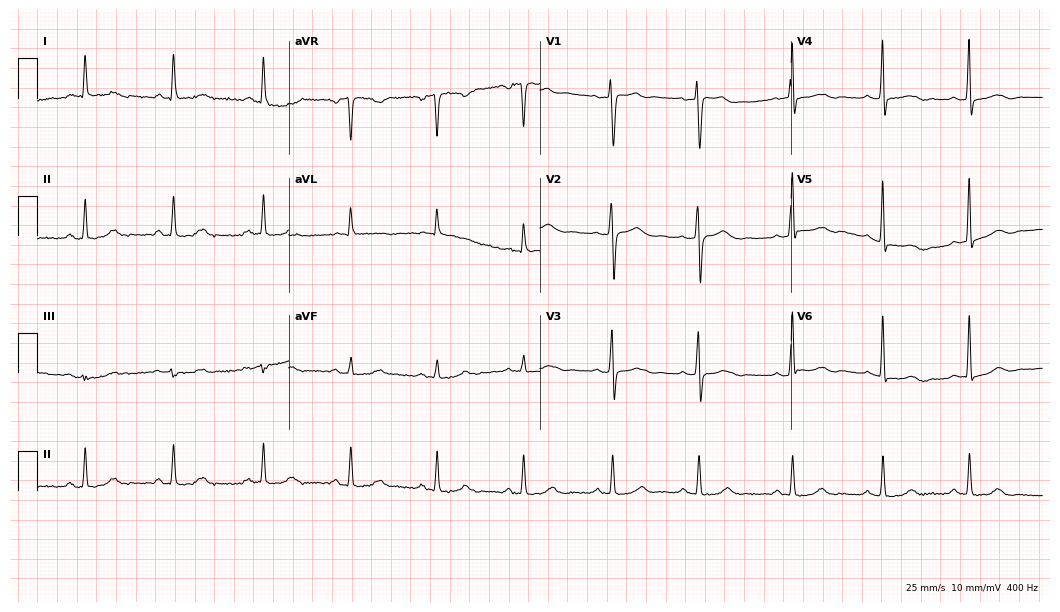
Electrocardiogram, a female, 61 years old. Overall reading on record: normal ECG.